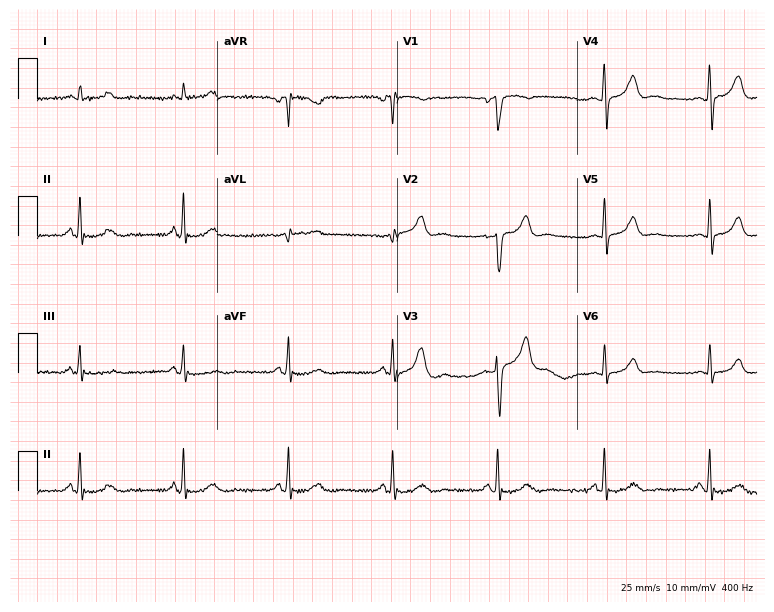
Standard 12-lead ECG recorded from a 57-year-old man (7.3-second recording at 400 Hz). Read as a normal ECG.